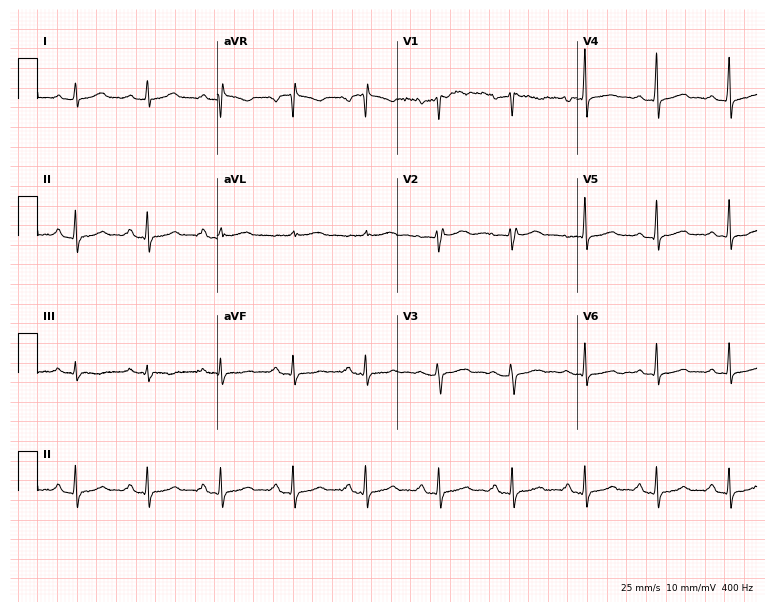
ECG — a female patient, 46 years old. Labelled as a normal ECG.